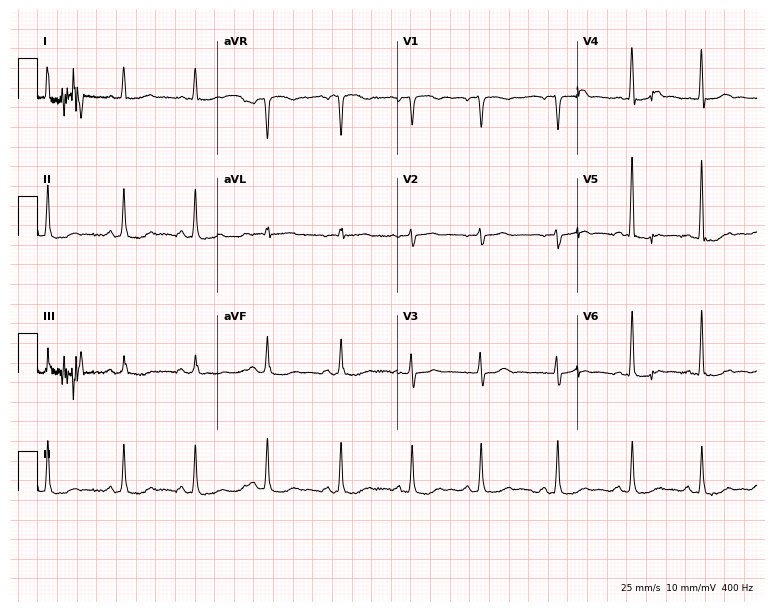
12-lead ECG from a 67-year-old female. No first-degree AV block, right bundle branch block (RBBB), left bundle branch block (LBBB), sinus bradycardia, atrial fibrillation (AF) or sinus tachycardia recorded for this tracing. Only these six findings were labelled.